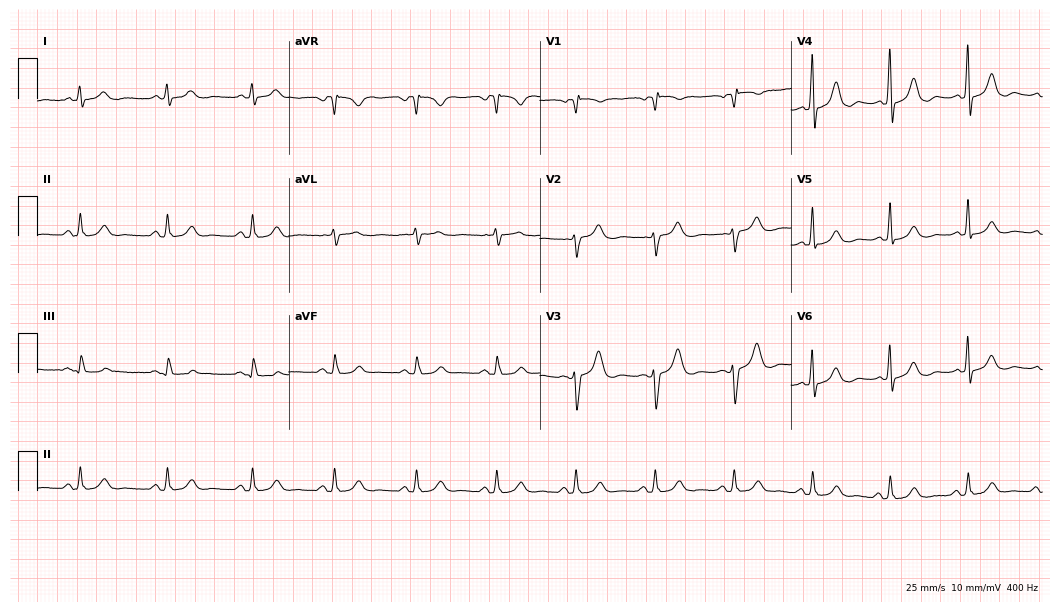
ECG — a female, 54 years old. Labelled as a normal ECG.